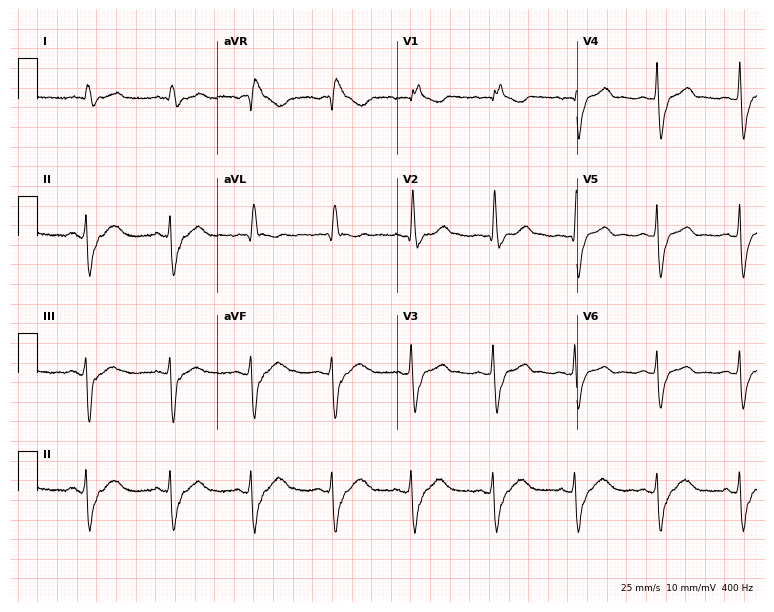
12-lead ECG from a male patient, 81 years old (7.3-second recording at 400 Hz). Shows right bundle branch block.